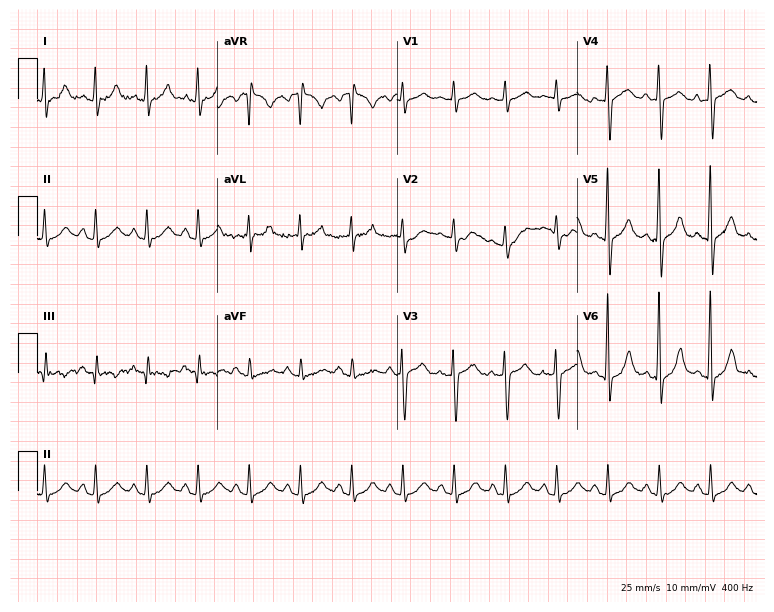
12-lead ECG from a male patient, 67 years old. Findings include sinus tachycardia (a sinus rate of 100 beats per minute or more).